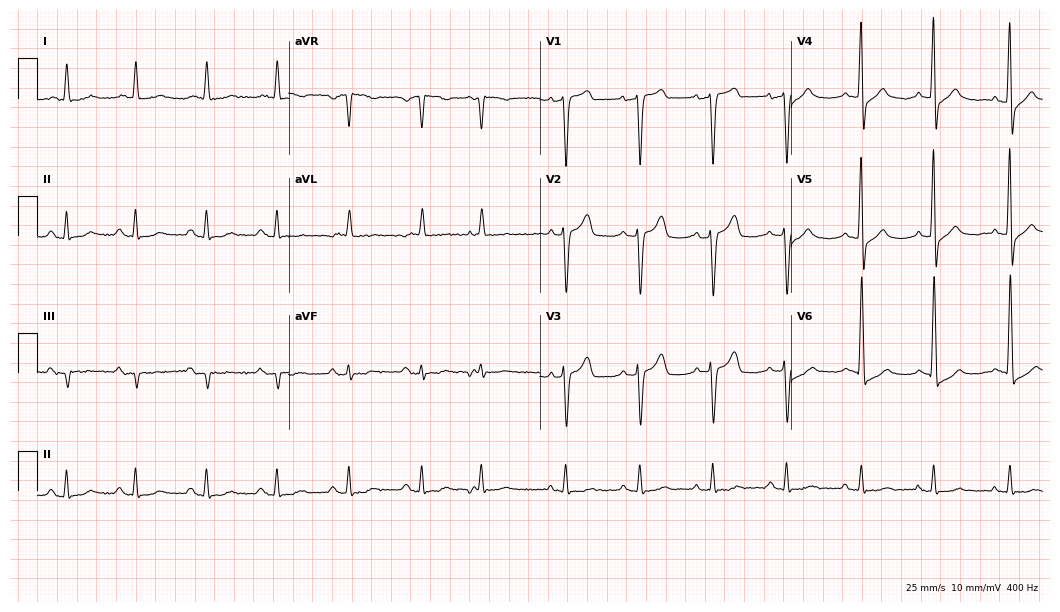
Resting 12-lead electrocardiogram. Patient: an 84-year-old man. None of these six findings is recorded: first-degree AV block, right bundle branch block, left bundle branch block, sinus bradycardia, atrial fibrillation, sinus tachycardia. Other findings, if any, are not listed.